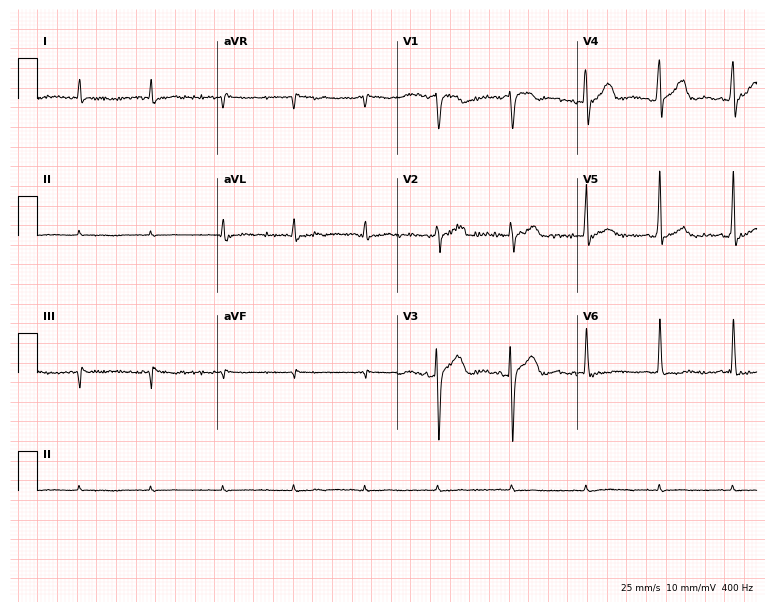
Standard 12-lead ECG recorded from a female patient, 80 years old. None of these six findings is recorded: first-degree AV block, right bundle branch block, left bundle branch block, sinus bradycardia, atrial fibrillation, sinus tachycardia. Only these six findings were labelled.